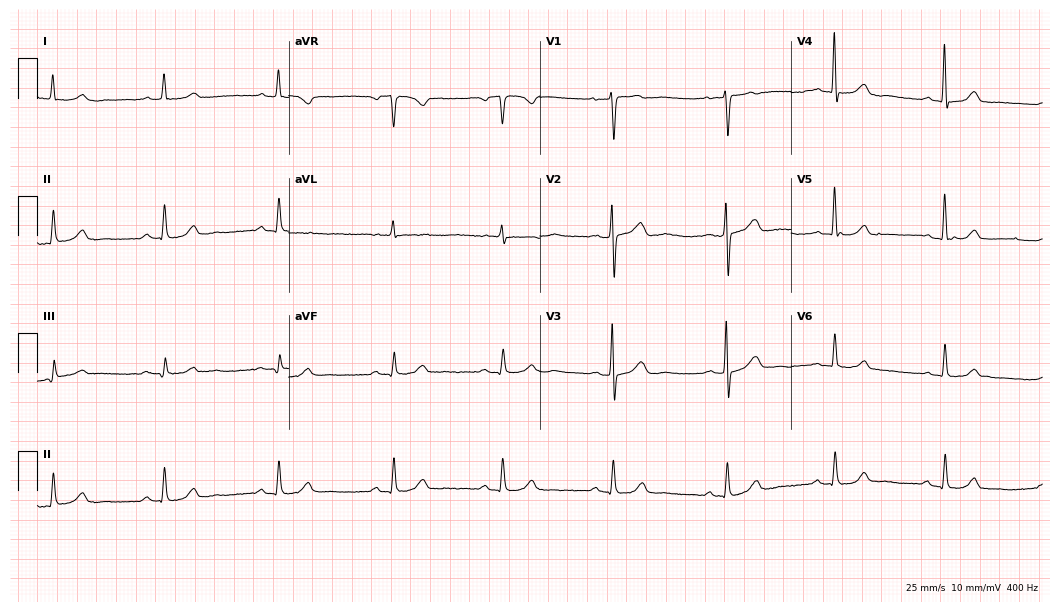
12-lead ECG from a woman, 80 years old. No first-degree AV block, right bundle branch block, left bundle branch block, sinus bradycardia, atrial fibrillation or sinus tachycardia recorded for this tracing.